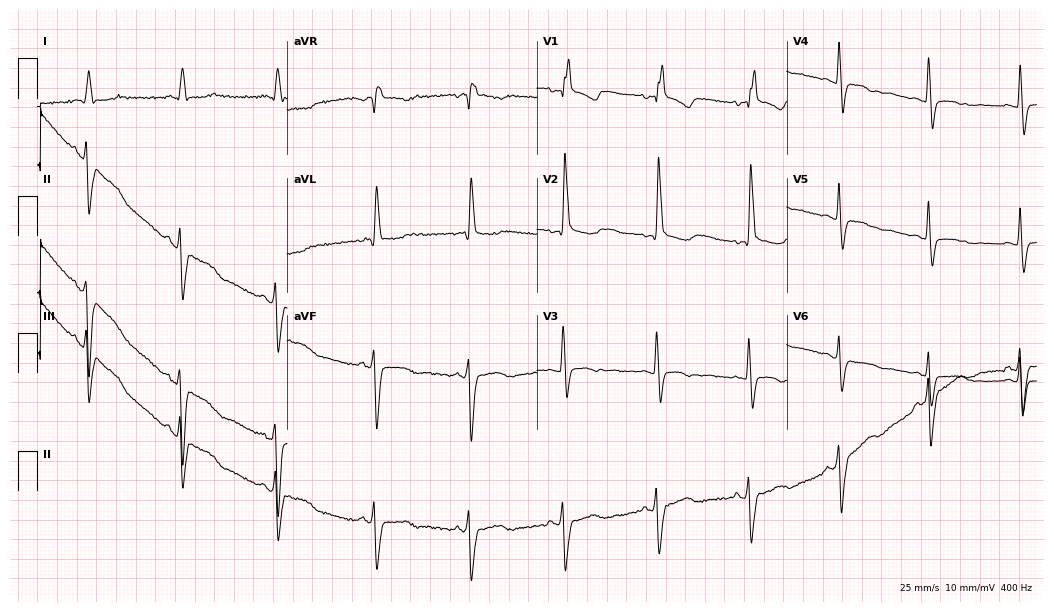
Electrocardiogram, a 66-year-old woman. Of the six screened findings (first-degree AV block, right bundle branch block, left bundle branch block, sinus bradycardia, atrial fibrillation, sinus tachycardia), none is recorded.